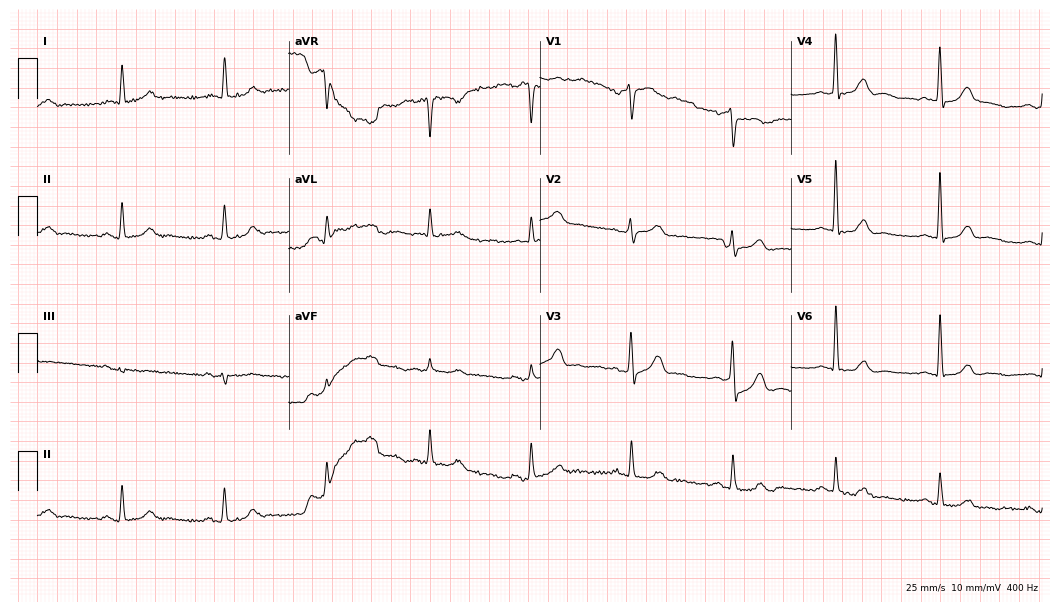
12-lead ECG from a 72-year-old male patient (10.2-second recording at 400 Hz). Recorded interpretation: within normal limits.